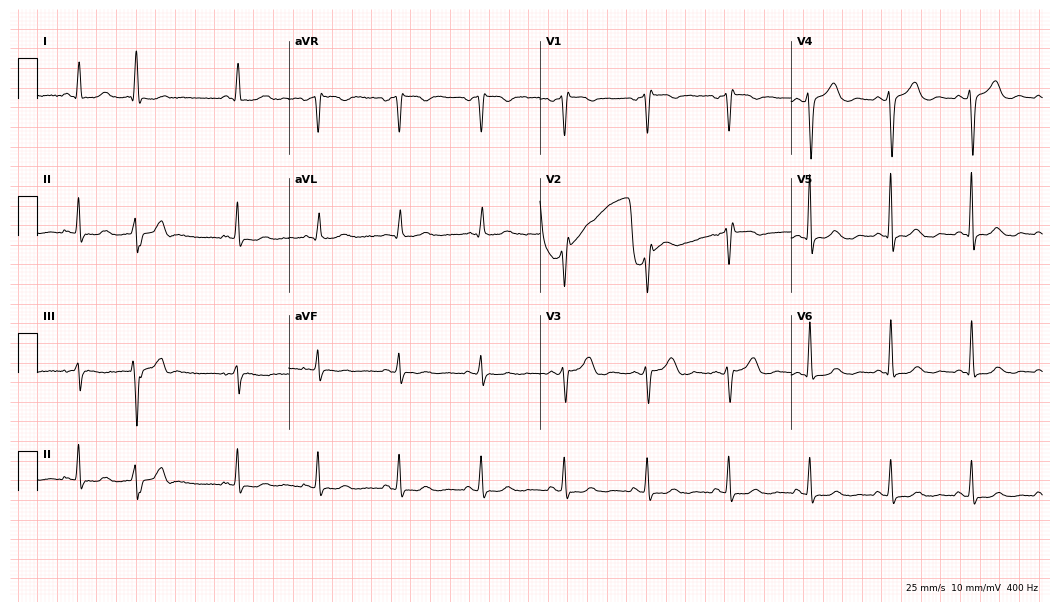
Electrocardiogram (10.2-second recording at 400 Hz), a 48-year-old female patient. Of the six screened findings (first-degree AV block, right bundle branch block, left bundle branch block, sinus bradycardia, atrial fibrillation, sinus tachycardia), none is recorded.